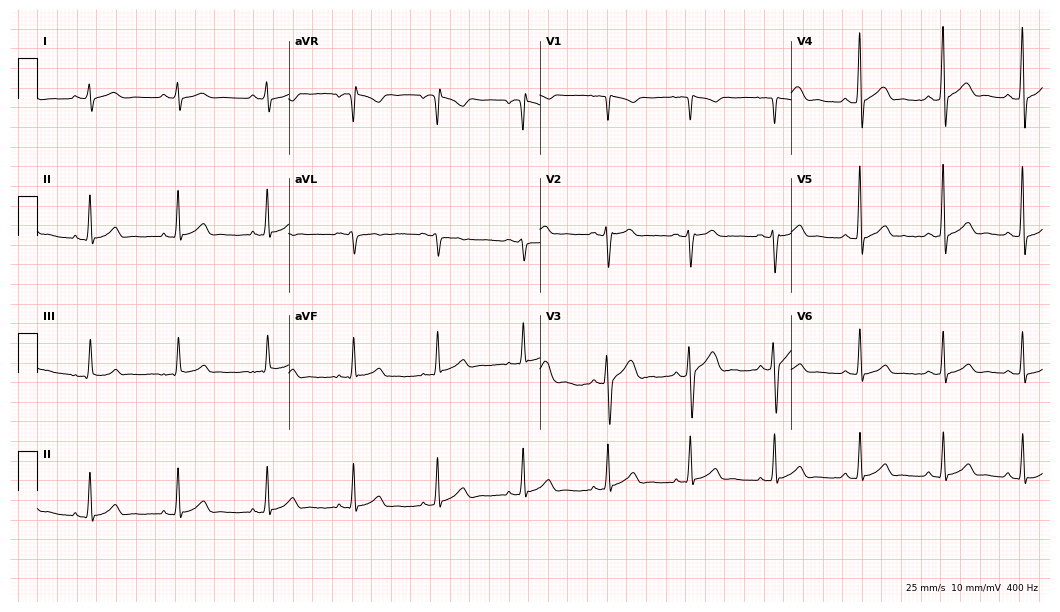
ECG (10.2-second recording at 400 Hz) — a male, 29 years old. Labelled as a normal ECG.